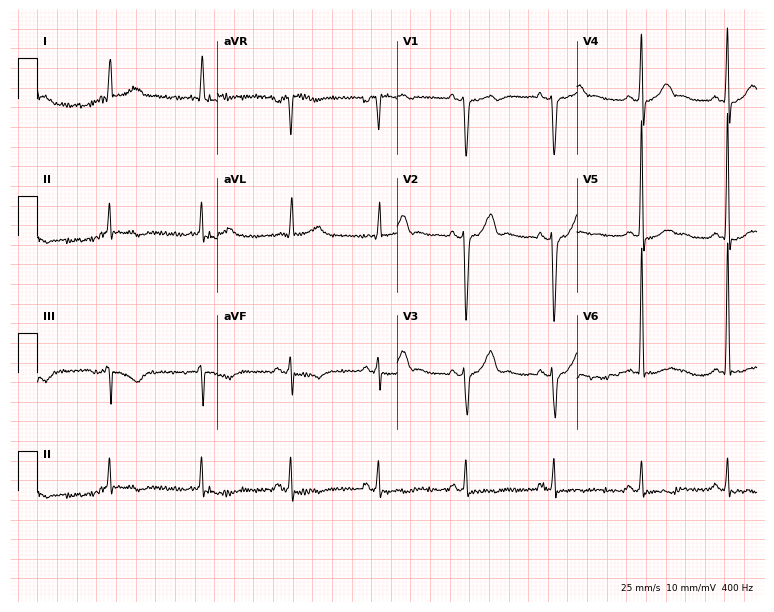
Standard 12-lead ECG recorded from a male patient, 80 years old (7.3-second recording at 400 Hz). None of these six findings is recorded: first-degree AV block, right bundle branch block (RBBB), left bundle branch block (LBBB), sinus bradycardia, atrial fibrillation (AF), sinus tachycardia. Findings outside these six are not listed.